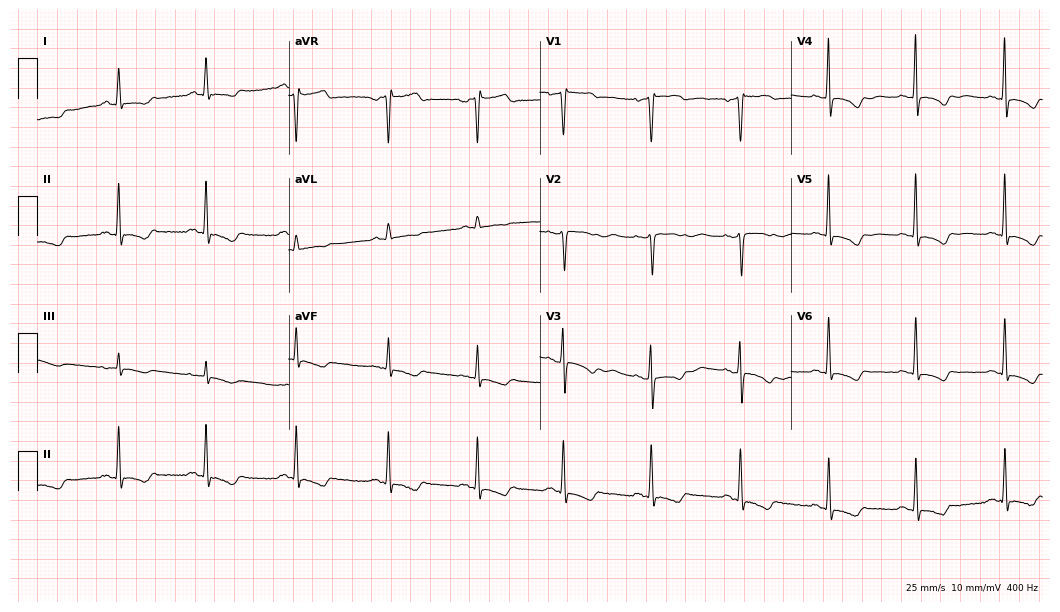
12-lead ECG from a female patient, 53 years old. Screened for six findings — first-degree AV block, right bundle branch block, left bundle branch block, sinus bradycardia, atrial fibrillation, sinus tachycardia — none is recorded.